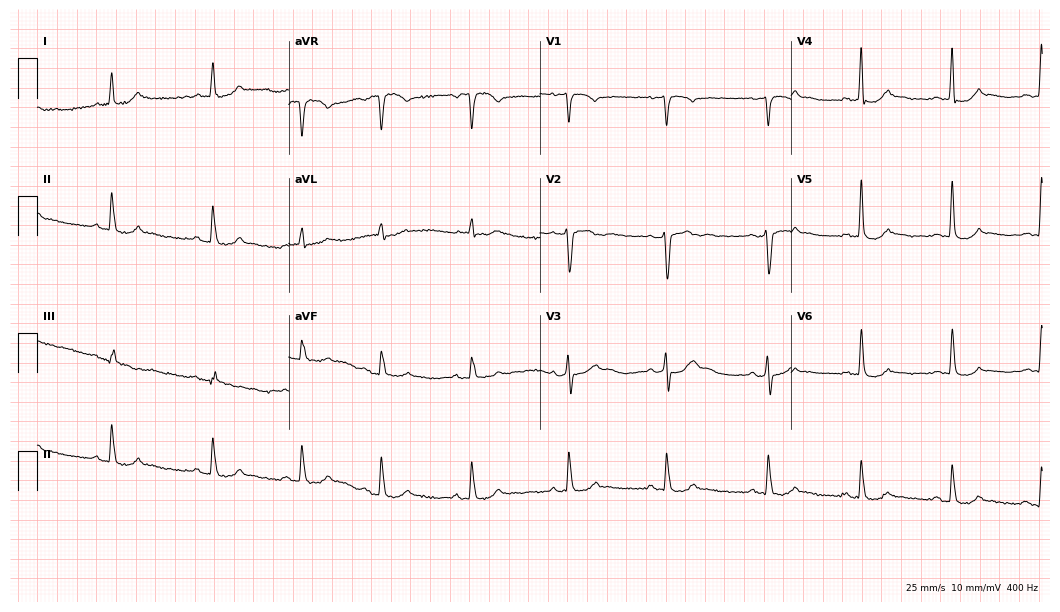
12-lead ECG (10.2-second recording at 400 Hz) from a male, 66 years old. Labelled as a normal ECG.